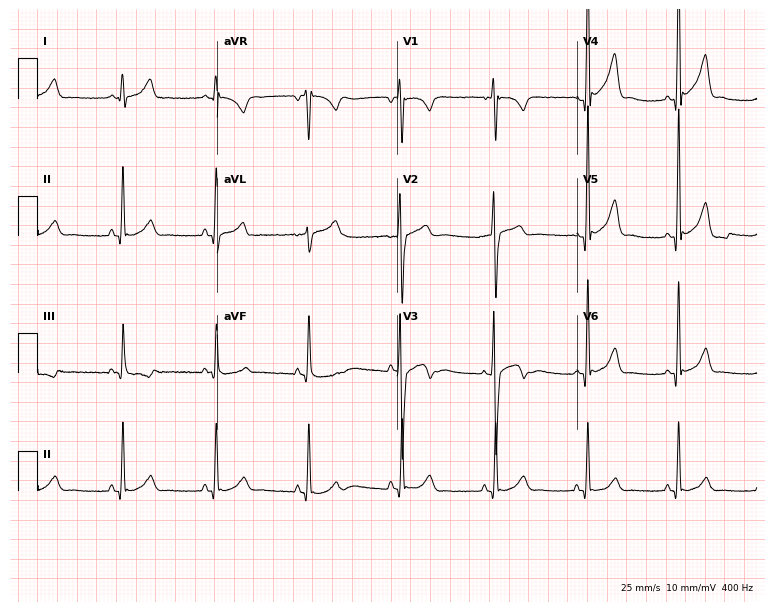
Resting 12-lead electrocardiogram (7.3-second recording at 400 Hz). Patient: a 22-year-old man. Read as a normal ECG.